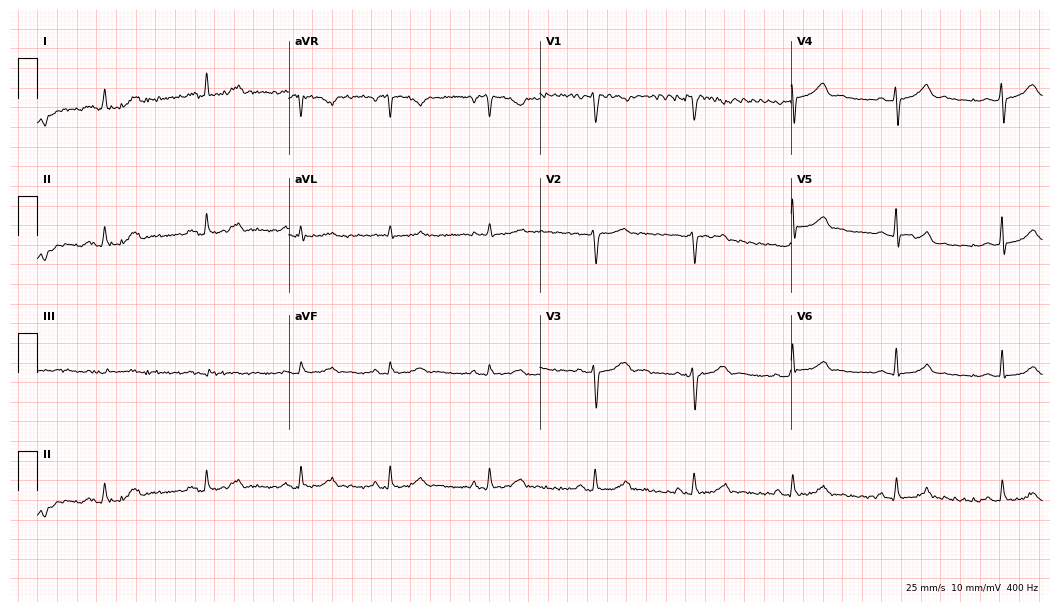
Electrocardiogram (10.2-second recording at 400 Hz), a 46-year-old female patient. Of the six screened findings (first-degree AV block, right bundle branch block, left bundle branch block, sinus bradycardia, atrial fibrillation, sinus tachycardia), none is recorded.